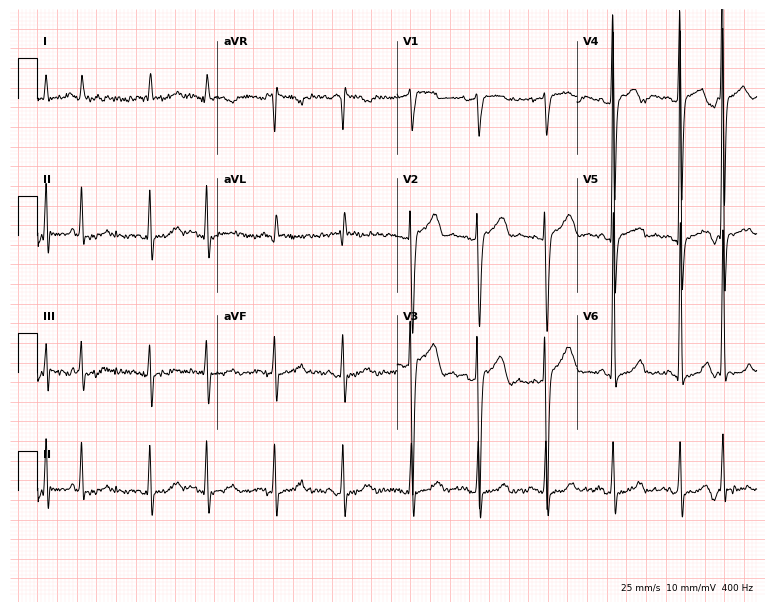
Standard 12-lead ECG recorded from a 69-year-old female (7.3-second recording at 400 Hz). None of these six findings is recorded: first-degree AV block, right bundle branch block, left bundle branch block, sinus bradycardia, atrial fibrillation, sinus tachycardia.